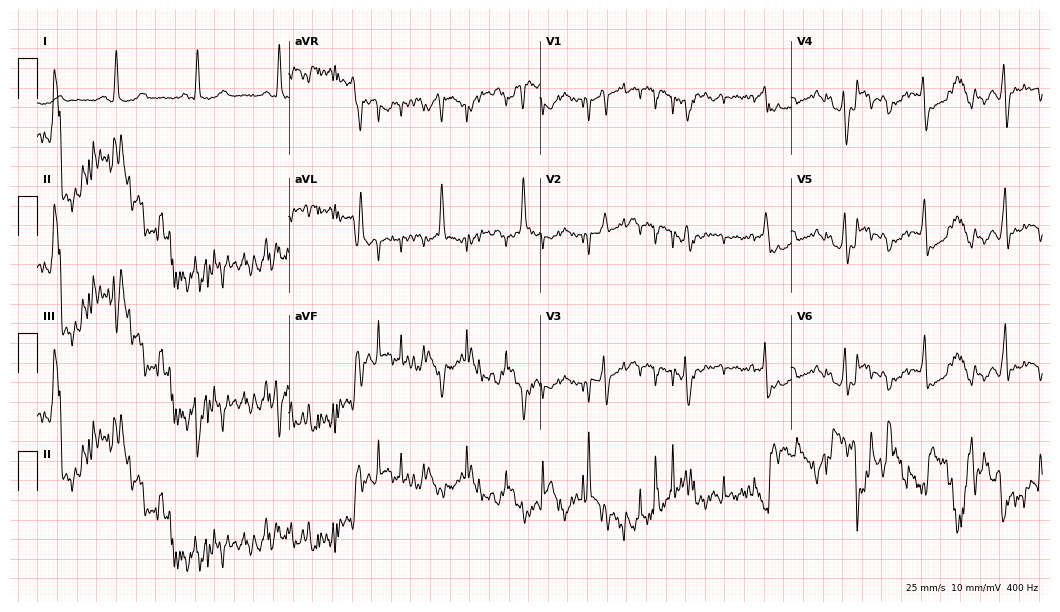
12-lead ECG from an 84-year-old female. Screened for six findings — first-degree AV block, right bundle branch block, left bundle branch block, sinus bradycardia, atrial fibrillation, sinus tachycardia — none is recorded.